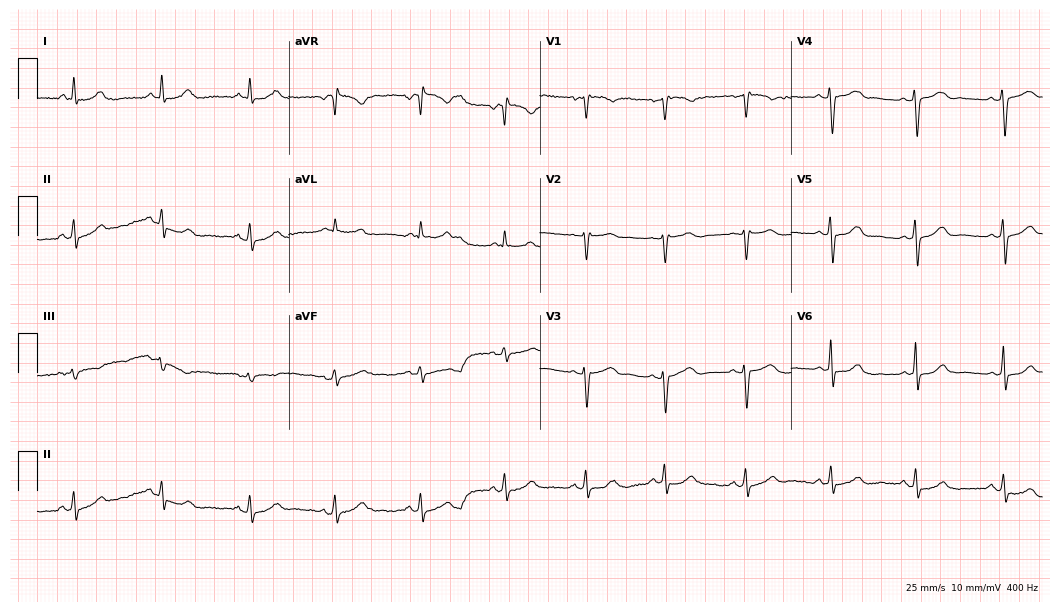
Electrocardiogram, a female patient, 46 years old. Overall reading on record: normal ECG.